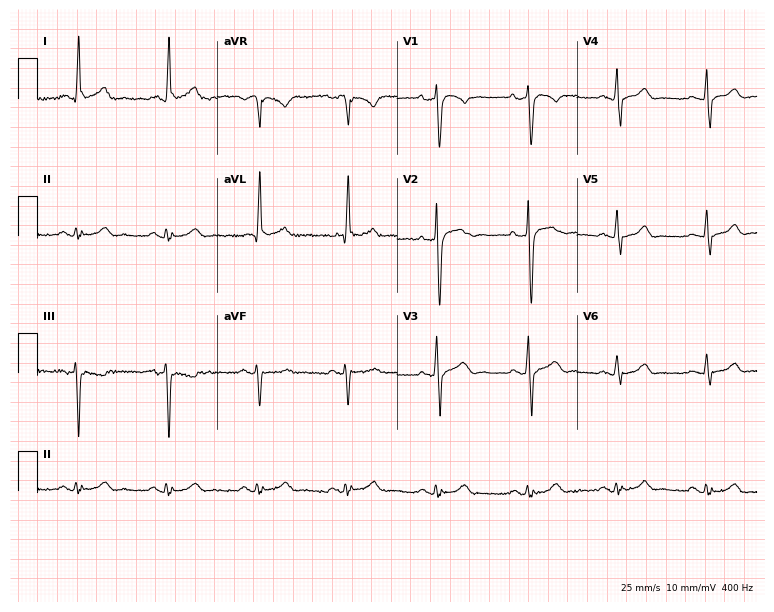
ECG — a man, 73 years old. Labelled as a normal ECG.